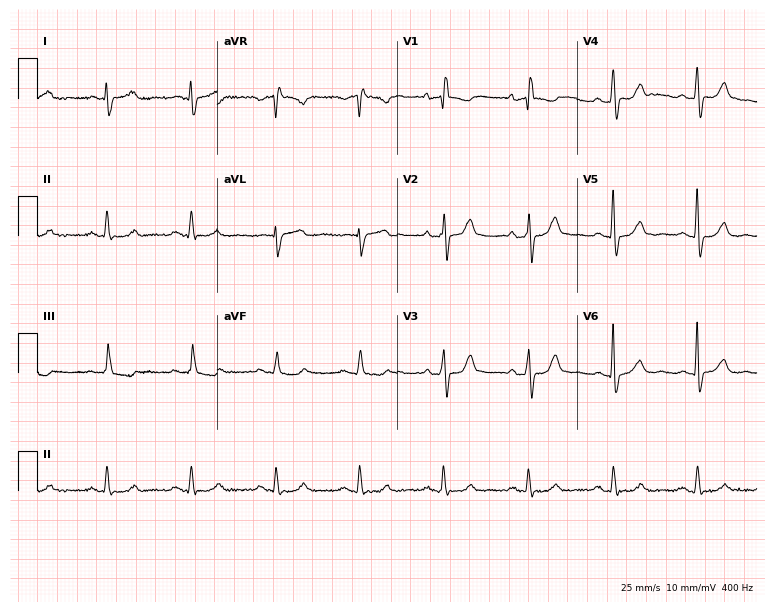
12-lead ECG from a 61-year-old female. Screened for six findings — first-degree AV block, right bundle branch block, left bundle branch block, sinus bradycardia, atrial fibrillation, sinus tachycardia — none is recorded. Only these six findings were labelled.